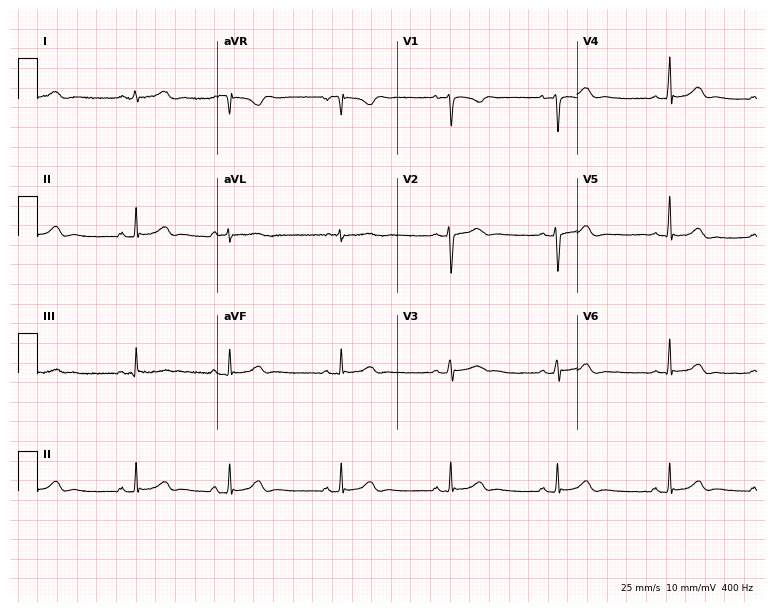
12-lead ECG from an 18-year-old female patient (7.3-second recording at 400 Hz). No first-degree AV block, right bundle branch block (RBBB), left bundle branch block (LBBB), sinus bradycardia, atrial fibrillation (AF) or sinus tachycardia recorded for this tracing. Findings outside these six are not listed.